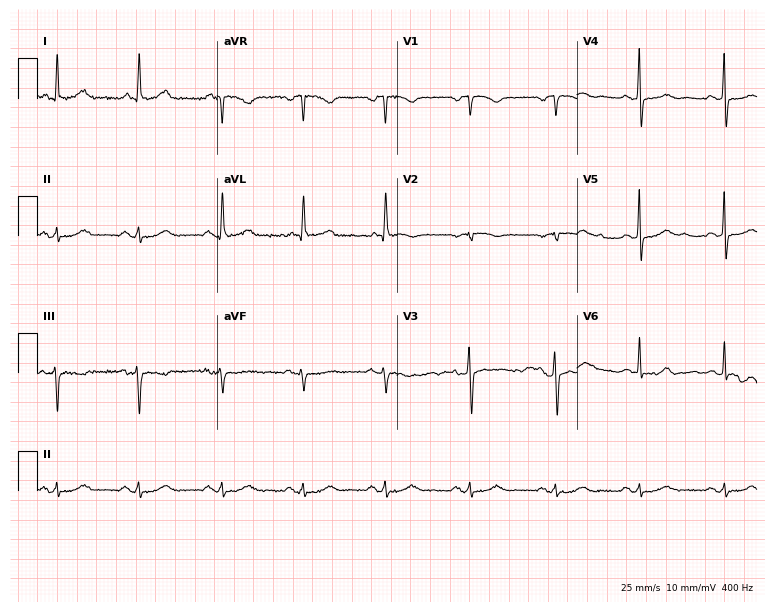
Resting 12-lead electrocardiogram (7.3-second recording at 400 Hz). Patient: a woman, 69 years old. None of these six findings is recorded: first-degree AV block, right bundle branch block, left bundle branch block, sinus bradycardia, atrial fibrillation, sinus tachycardia.